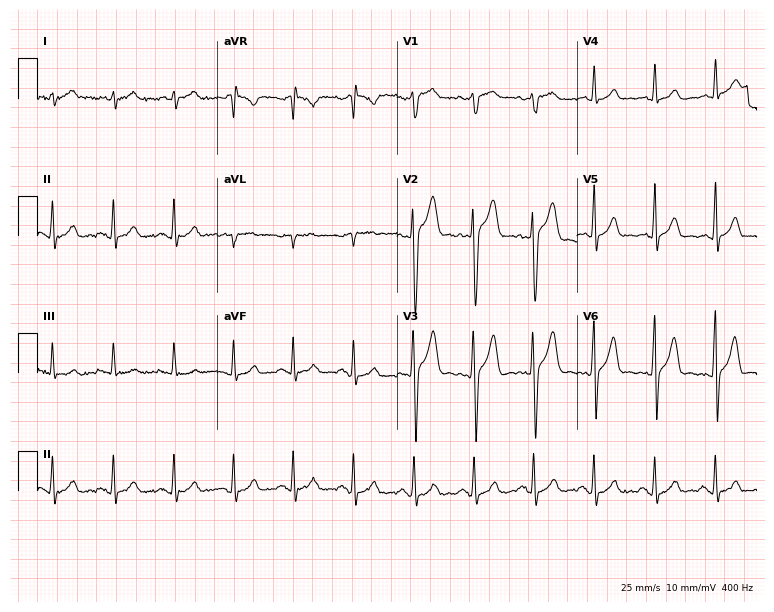
ECG (7.3-second recording at 400 Hz) — a male patient, 30 years old. Screened for six findings — first-degree AV block, right bundle branch block, left bundle branch block, sinus bradycardia, atrial fibrillation, sinus tachycardia — none is recorded. Only these six findings were labelled.